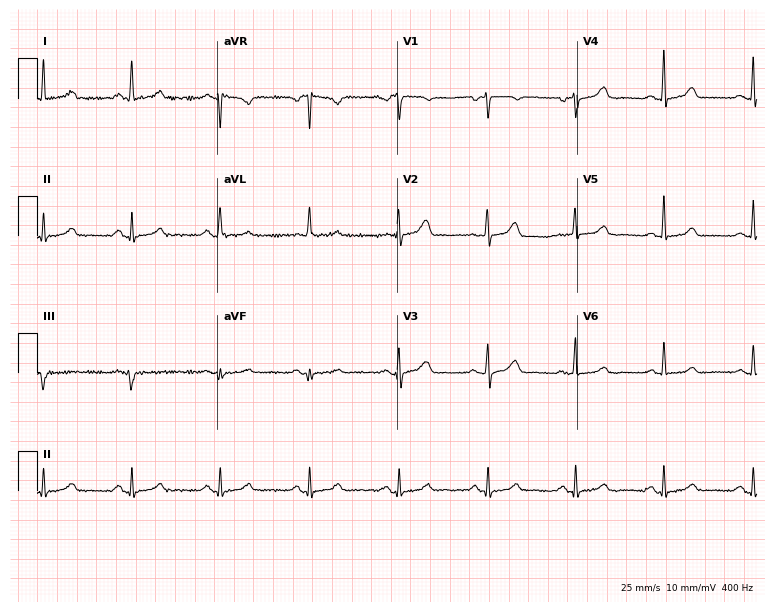
12-lead ECG from a 59-year-old female patient. Labelled as a normal ECG.